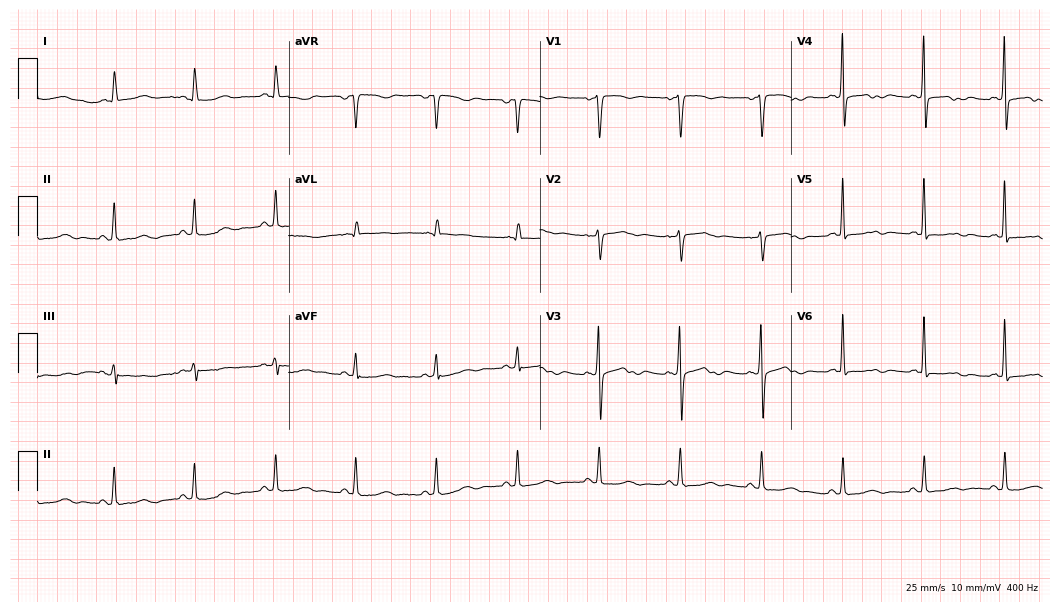
ECG — a 71-year-old female patient. Screened for six findings — first-degree AV block, right bundle branch block (RBBB), left bundle branch block (LBBB), sinus bradycardia, atrial fibrillation (AF), sinus tachycardia — none is recorded. Only these six findings were labelled.